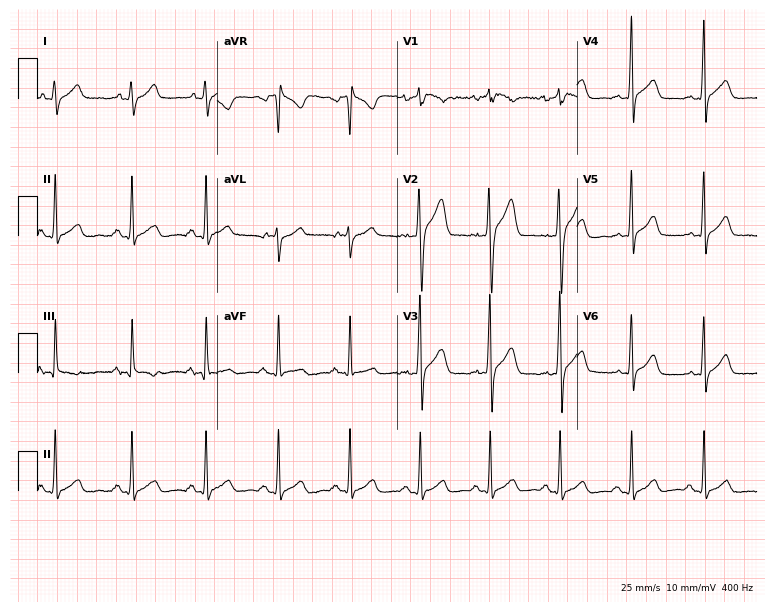
12-lead ECG from a 47-year-old man. No first-degree AV block, right bundle branch block, left bundle branch block, sinus bradycardia, atrial fibrillation or sinus tachycardia recorded for this tracing.